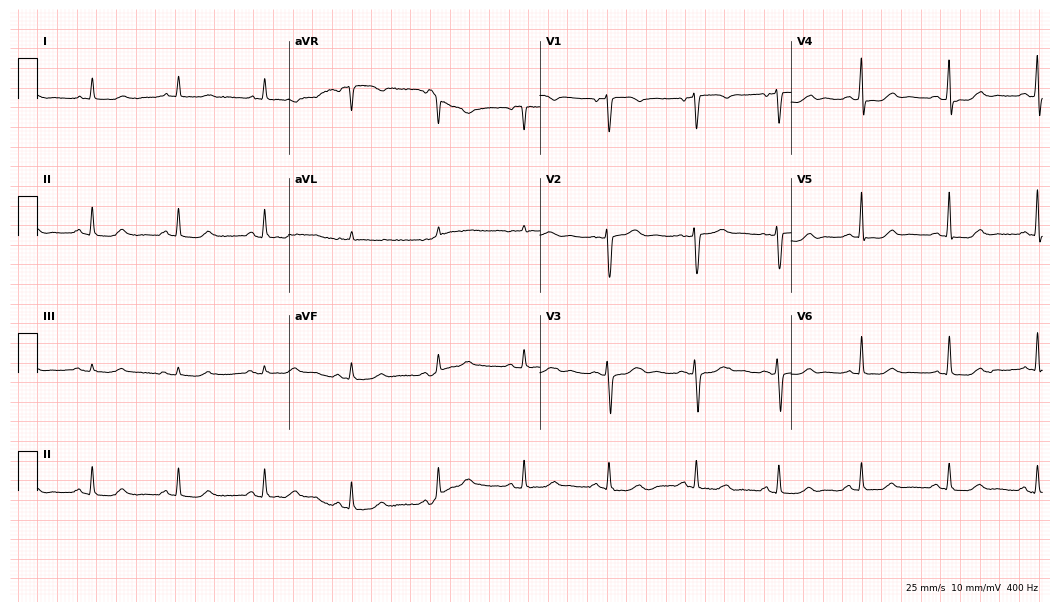
ECG (10.2-second recording at 400 Hz) — a woman, 67 years old. Screened for six findings — first-degree AV block, right bundle branch block (RBBB), left bundle branch block (LBBB), sinus bradycardia, atrial fibrillation (AF), sinus tachycardia — none is recorded. Only these six findings were labelled.